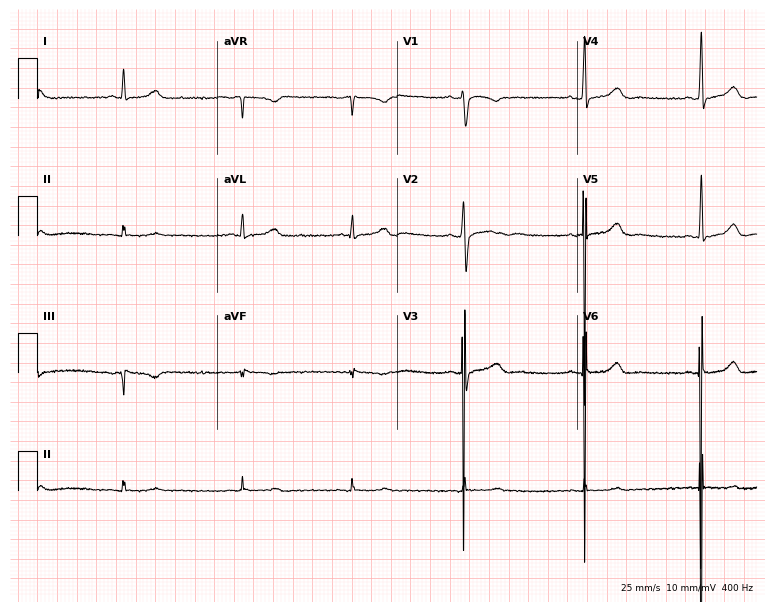
Standard 12-lead ECG recorded from a woman, 29 years old (7.3-second recording at 400 Hz). None of these six findings is recorded: first-degree AV block, right bundle branch block, left bundle branch block, sinus bradycardia, atrial fibrillation, sinus tachycardia. Findings outside these six are not listed.